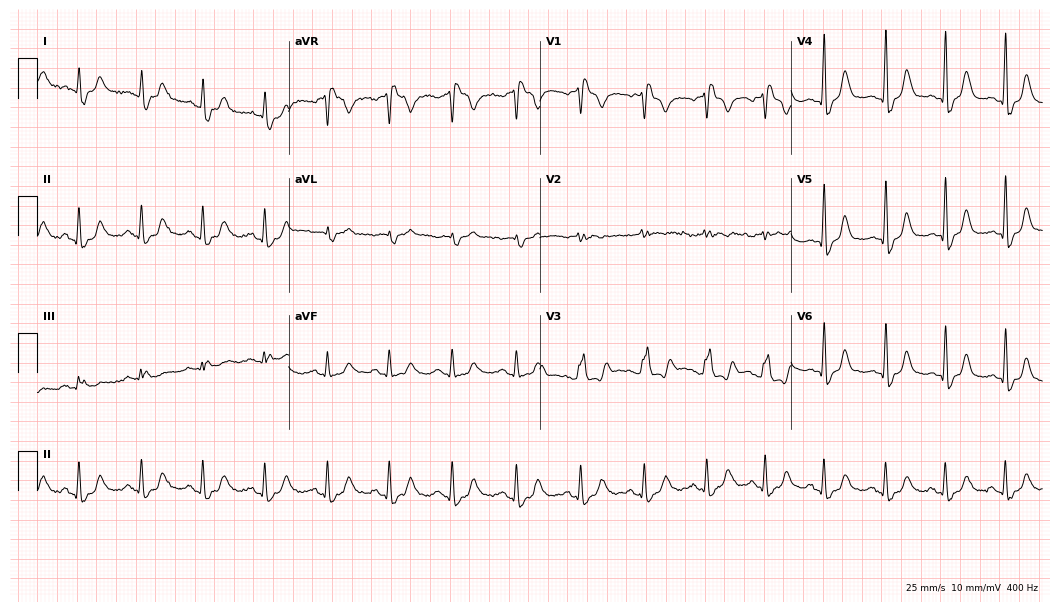
ECG — a man, 75 years old. Screened for six findings — first-degree AV block, right bundle branch block, left bundle branch block, sinus bradycardia, atrial fibrillation, sinus tachycardia — none is recorded.